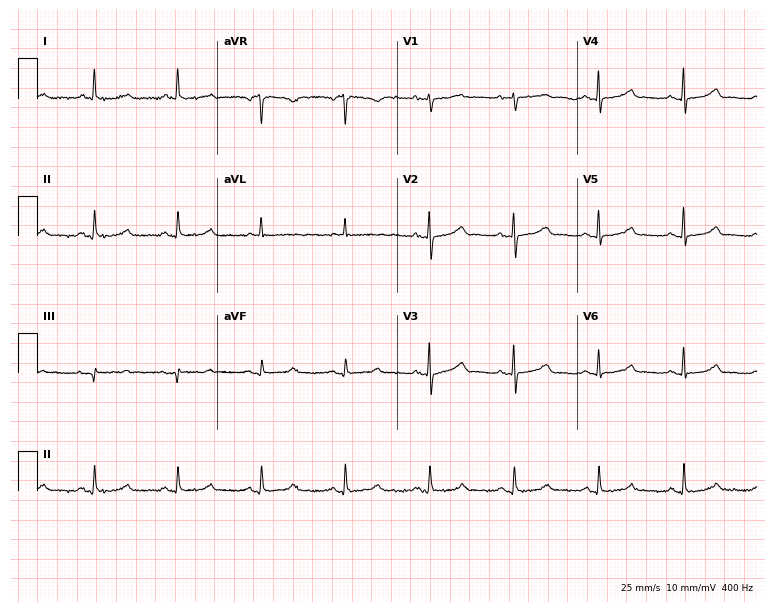
Resting 12-lead electrocardiogram. Patient: a 67-year-old woman. Read as a normal ECG.